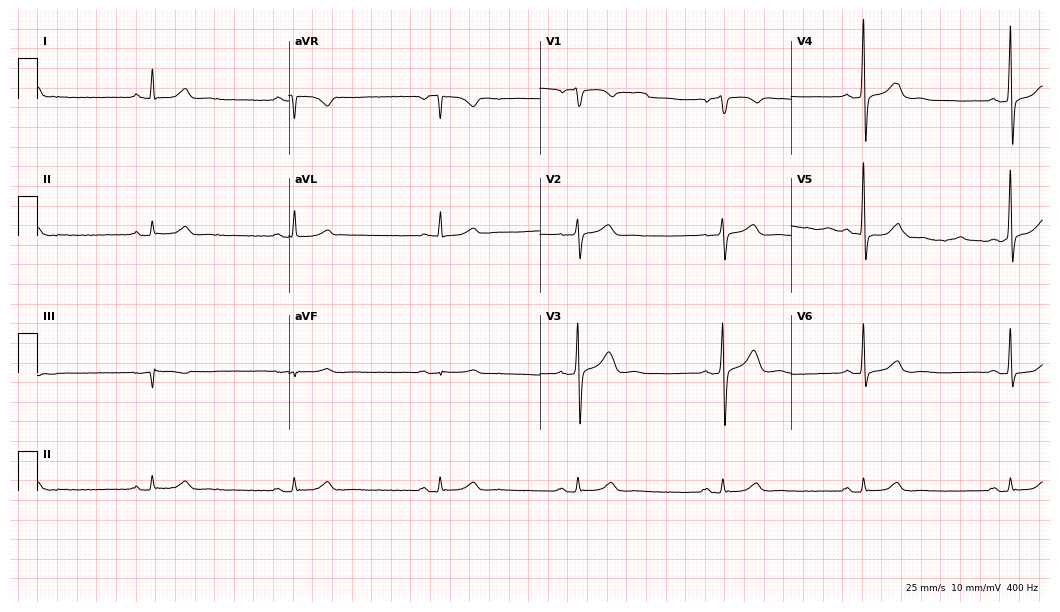
Standard 12-lead ECG recorded from a 51-year-old male. The tracing shows sinus bradycardia (a sinus rate of 50 beats per minute or less).